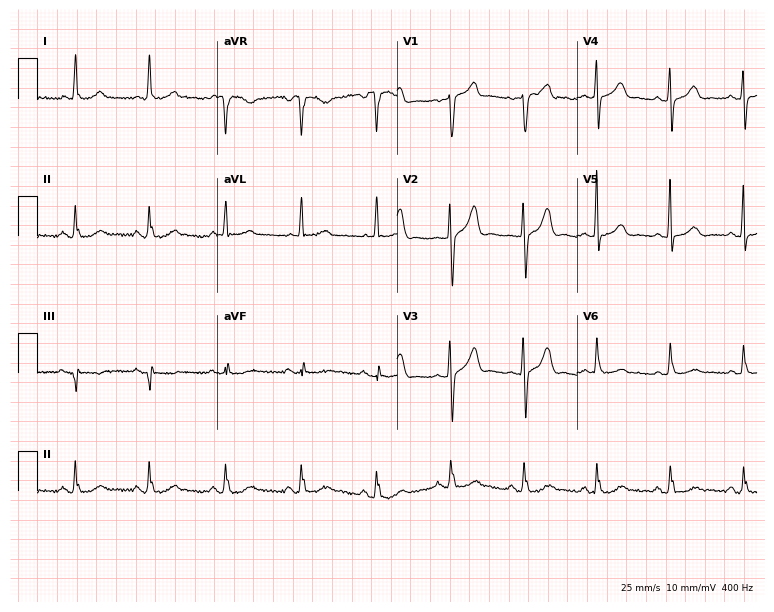
12-lead ECG from a male patient, 59 years old. Screened for six findings — first-degree AV block, right bundle branch block, left bundle branch block, sinus bradycardia, atrial fibrillation, sinus tachycardia — none is recorded.